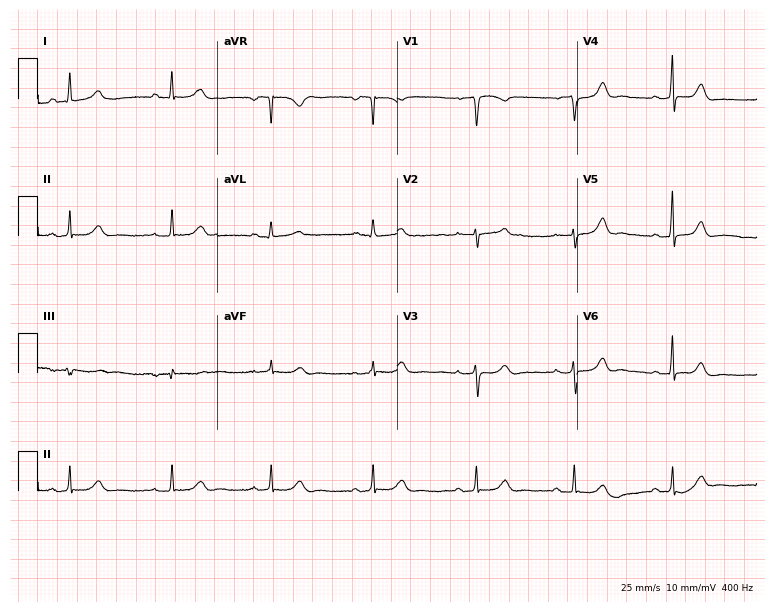
ECG (7.3-second recording at 400 Hz) — a 56-year-old female. Labelled as a normal ECG.